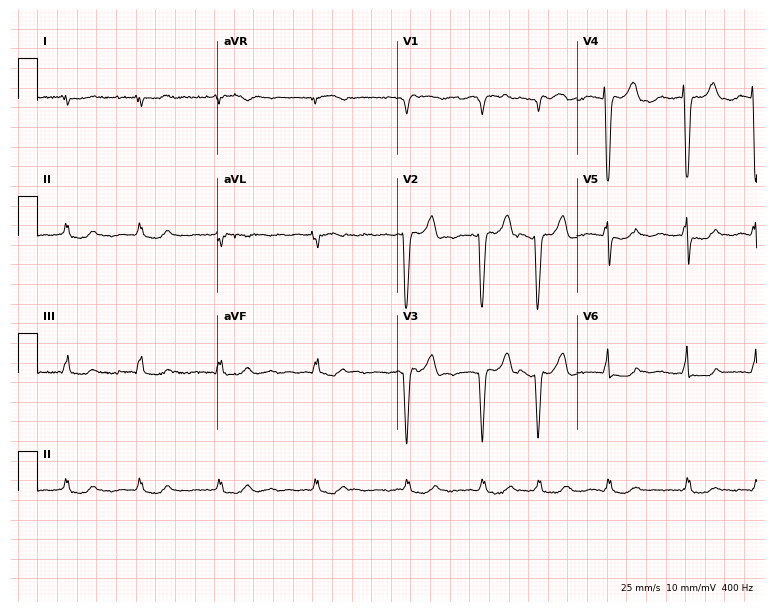
12-lead ECG from a woman, 80 years old (7.3-second recording at 400 Hz). Shows atrial fibrillation (AF).